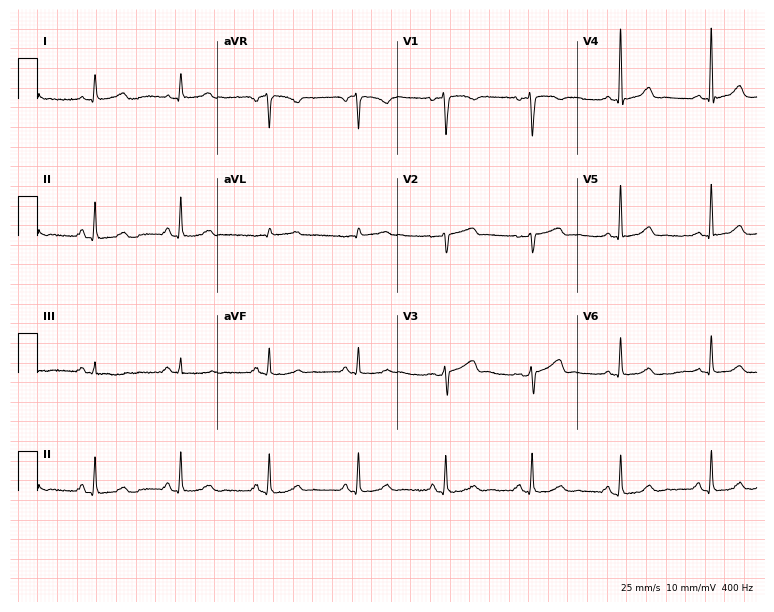
12-lead ECG (7.3-second recording at 400 Hz) from a 47-year-old female patient. Screened for six findings — first-degree AV block, right bundle branch block, left bundle branch block, sinus bradycardia, atrial fibrillation, sinus tachycardia — none is recorded.